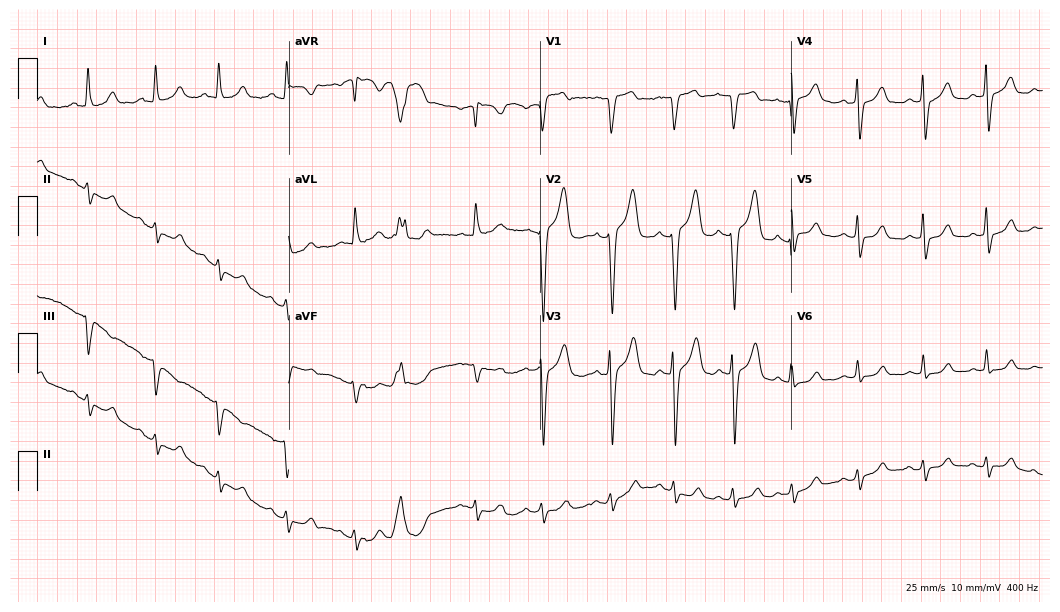
12-lead ECG from an 82-year-old male patient (10.2-second recording at 400 Hz). No first-degree AV block, right bundle branch block (RBBB), left bundle branch block (LBBB), sinus bradycardia, atrial fibrillation (AF) or sinus tachycardia recorded for this tracing. Other findings, if any, are not listed.